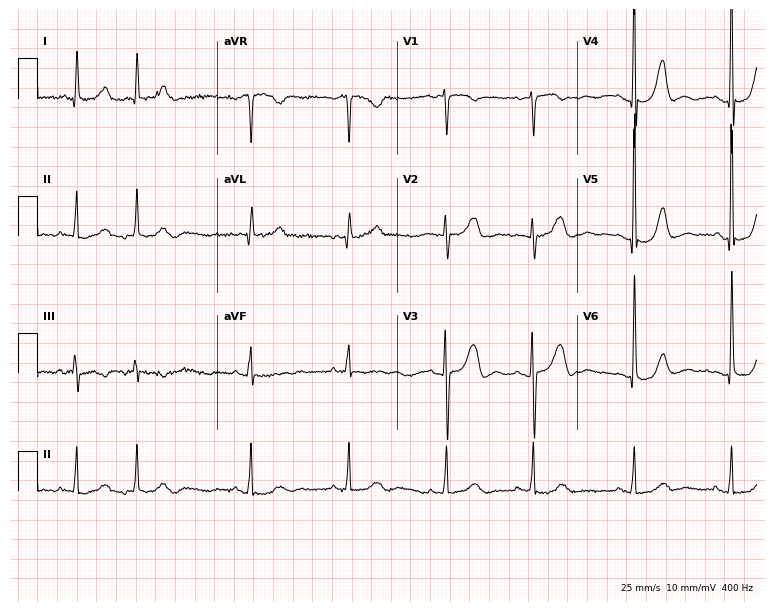
Standard 12-lead ECG recorded from a female, 72 years old. None of these six findings is recorded: first-degree AV block, right bundle branch block (RBBB), left bundle branch block (LBBB), sinus bradycardia, atrial fibrillation (AF), sinus tachycardia.